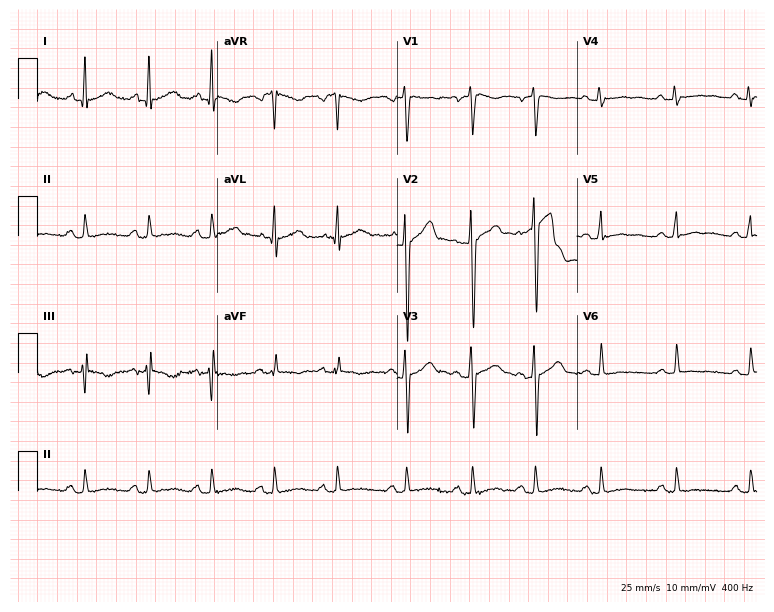
Electrocardiogram, a 28-year-old male patient. Overall reading on record: normal ECG.